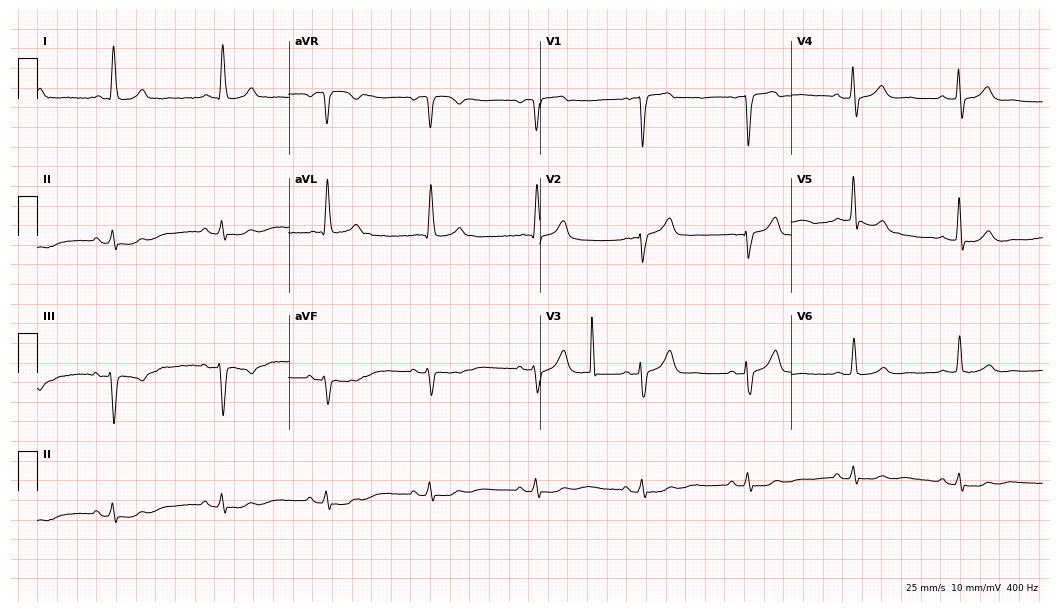
Resting 12-lead electrocardiogram. Patient: a 75-year-old male. None of these six findings is recorded: first-degree AV block, right bundle branch block, left bundle branch block, sinus bradycardia, atrial fibrillation, sinus tachycardia. Other findings, if any, are not listed.